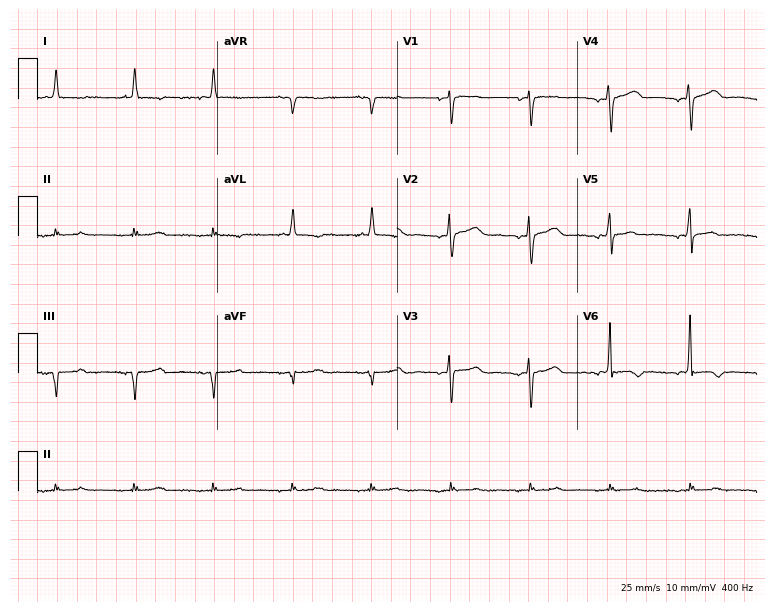
Standard 12-lead ECG recorded from a female patient, 83 years old (7.3-second recording at 400 Hz). None of these six findings is recorded: first-degree AV block, right bundle branch block, left bundle branch block, sinus bradycardia, atrial fibrillation, sinus tachycardia.